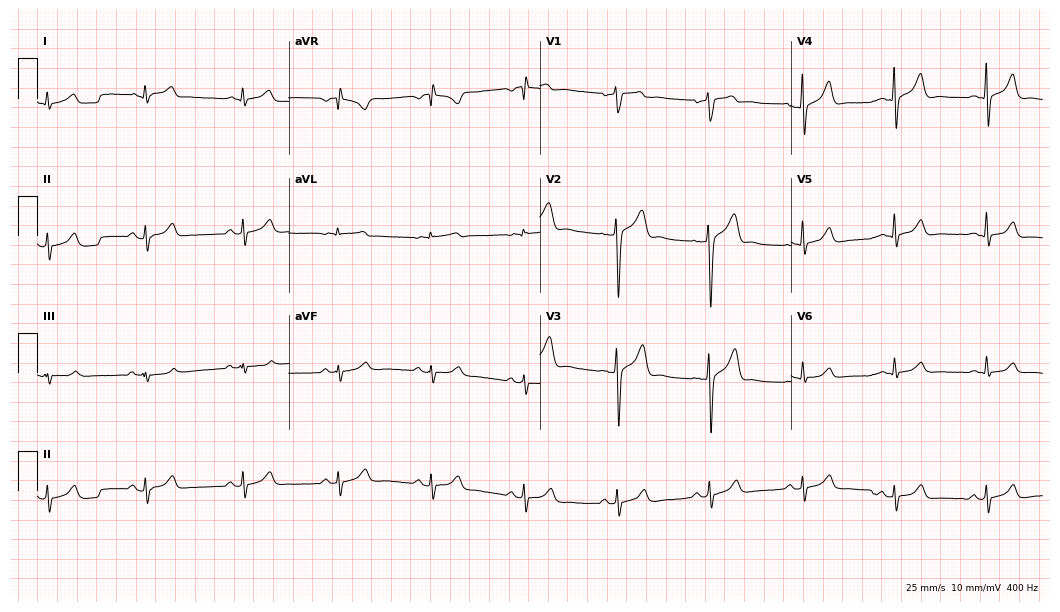
Electrocardiogram (10.2-second recording at 400 Hz), a 44-year-old man. Overall reading on record: normal ECG.